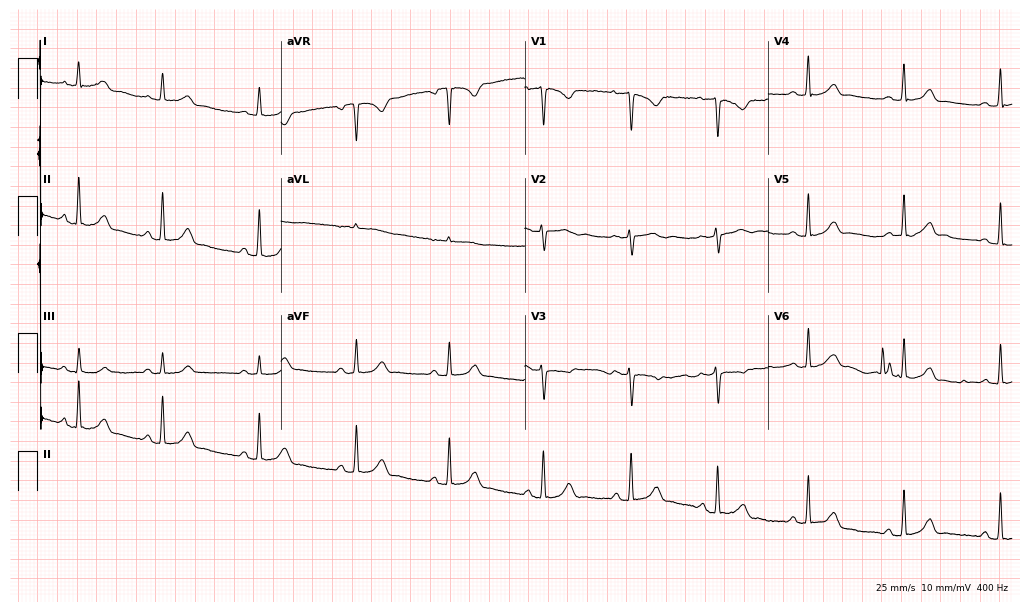
12-lead ECG from a 17-year-old woman (9.9-second recording at 400 Hz). No first-degree AV block, right bundle branch block (RBBB), left bundle branch block (LBBB), sinus bradycardia, atrial fibrillation (AF) or sinus tachycardia recorded for this tracing.